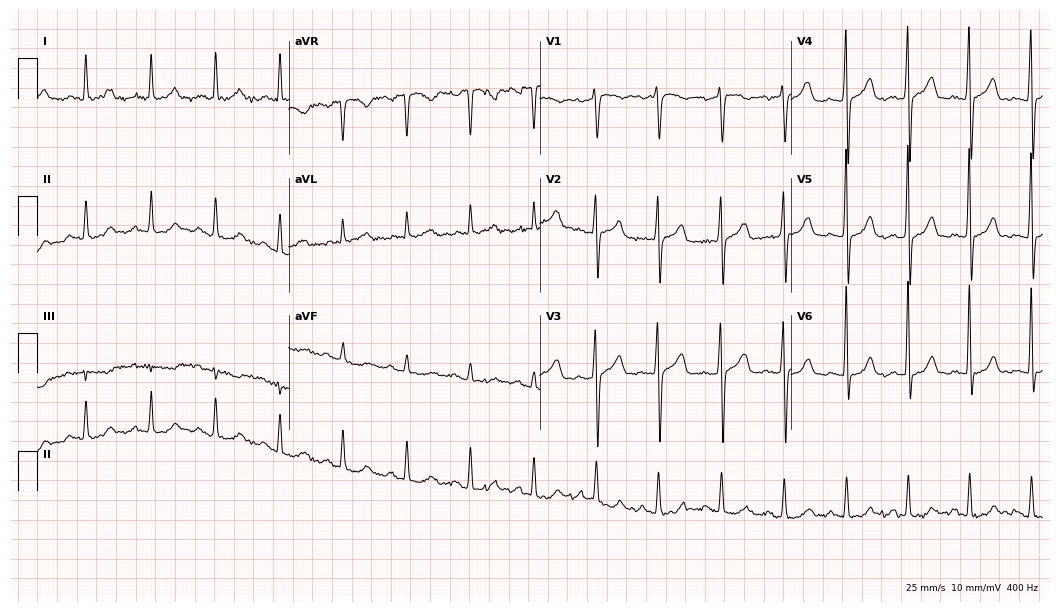
12-lead ECG from a female patient, 62 years old (10.2-second recording at 400 Hz). No first-degree AV block, right bundle branch block, left bundle branch block, sinus bradycardia, atrial fibrillation or sinus tachycardia recorded for this tracing. Only these six findings were labelled.